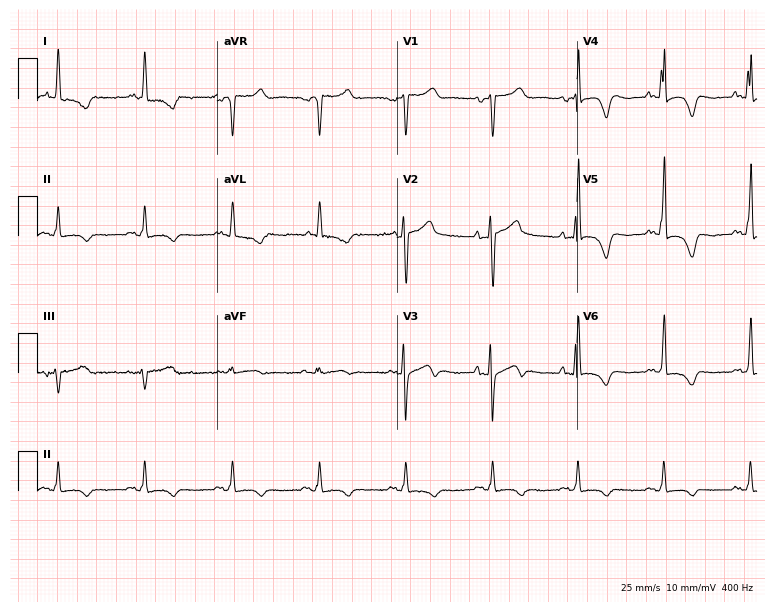
12-lead ECG from a man, 71 years old. Screened for six findings — first-degree AV block, right bundle branch block (RBBB), left bundle branch block (LBBB), sinus bradycardia, atrial fibrillation (AF), sinus tachycardia — none is recorded.